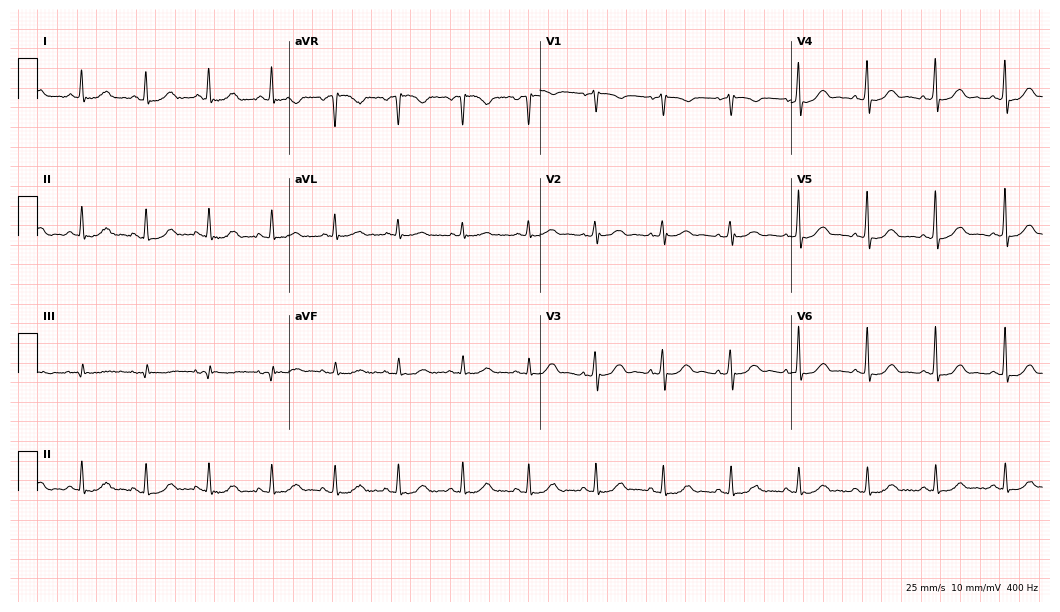
12-lead ECG from a woman, 67 years old (10.2-second recording at 400 Hz). No first-degree AV block, right bundle branch block, left bundle branch block, sinus bradycardia, atrial fibrillation or sinus tachycardia recorded for this tracing. Findings outside these six are not listed.